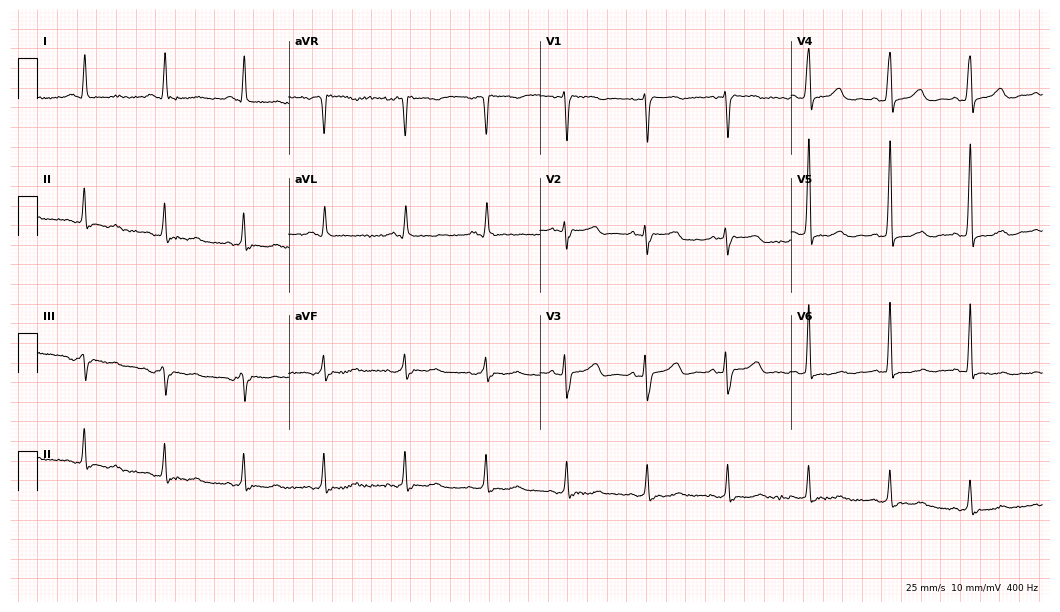
12-lead ECG from a woman, 71 years old. Screened for six findings — first-degree AV block, right bundle branch block, left bundle branch block, sinus bradycardia, atrial fibrillation, sinus tachycardia — none is recorded.